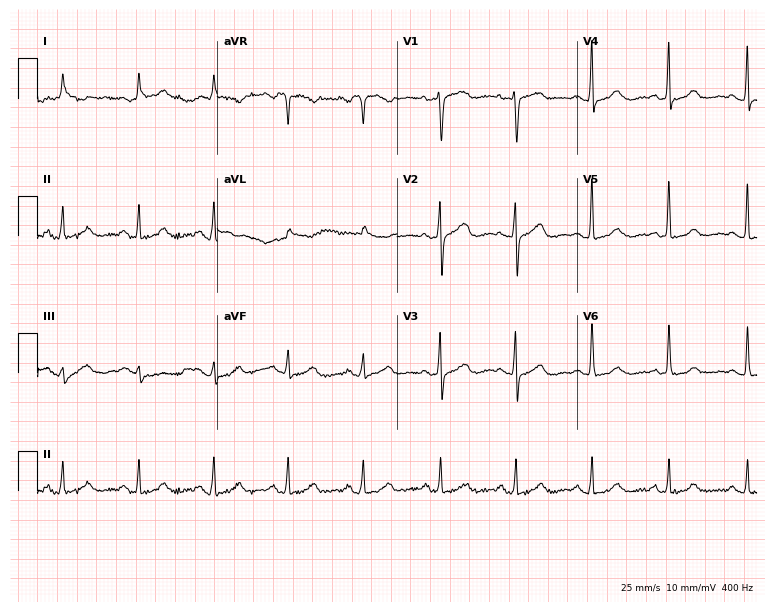
12-lead ECG from a 68-year-old female. Screened for six findings — first-degree AV block, right bundle branch block, left bundle branch block, sinus bradycardia, atrial fibrillation, sinus tachycardia — none is recorded.